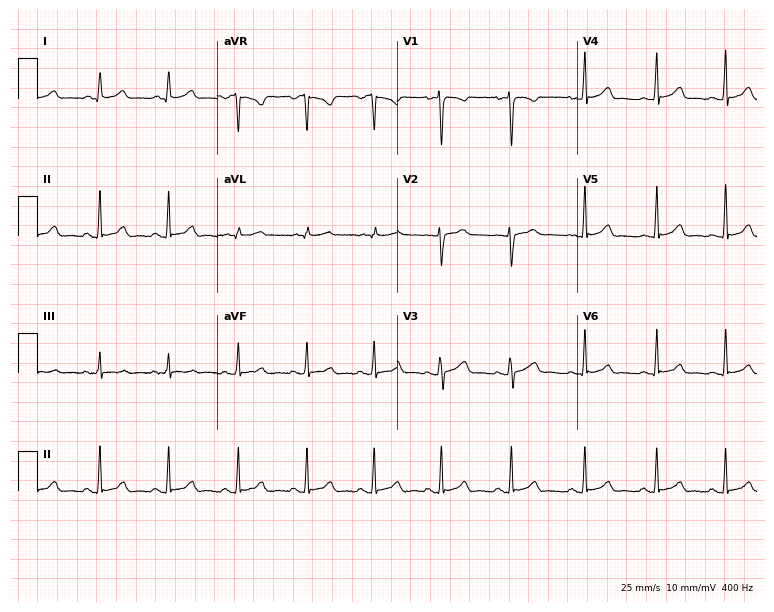
12-lead ECG from a female patient, 28 years old. Labelled as a normal ECG.